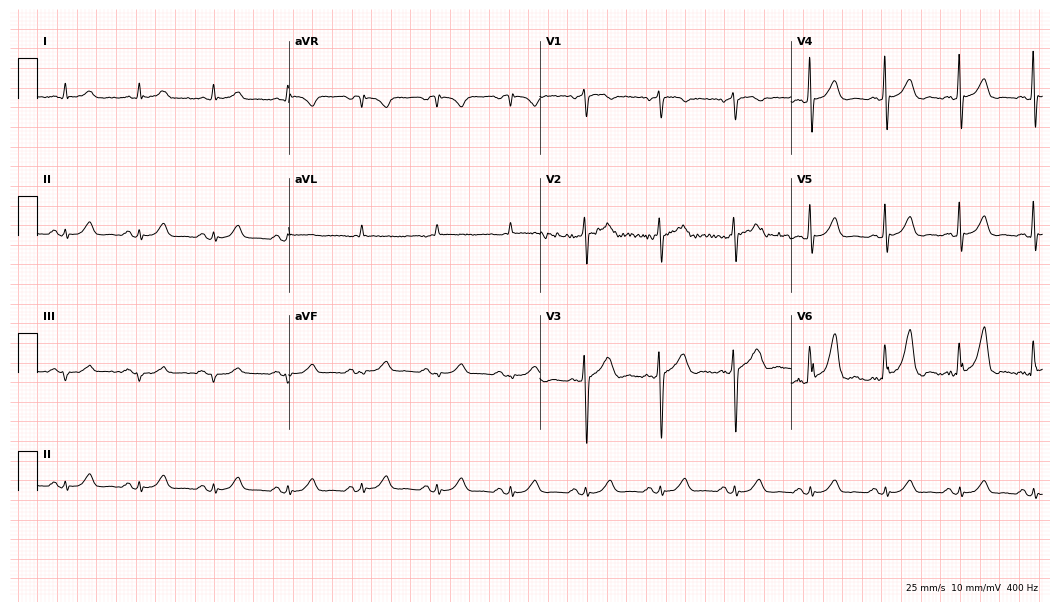
12-lead ECG from a man, 69 years old (10.2-second recording at 400 Hz). Recorded interpretation: within normal limits.